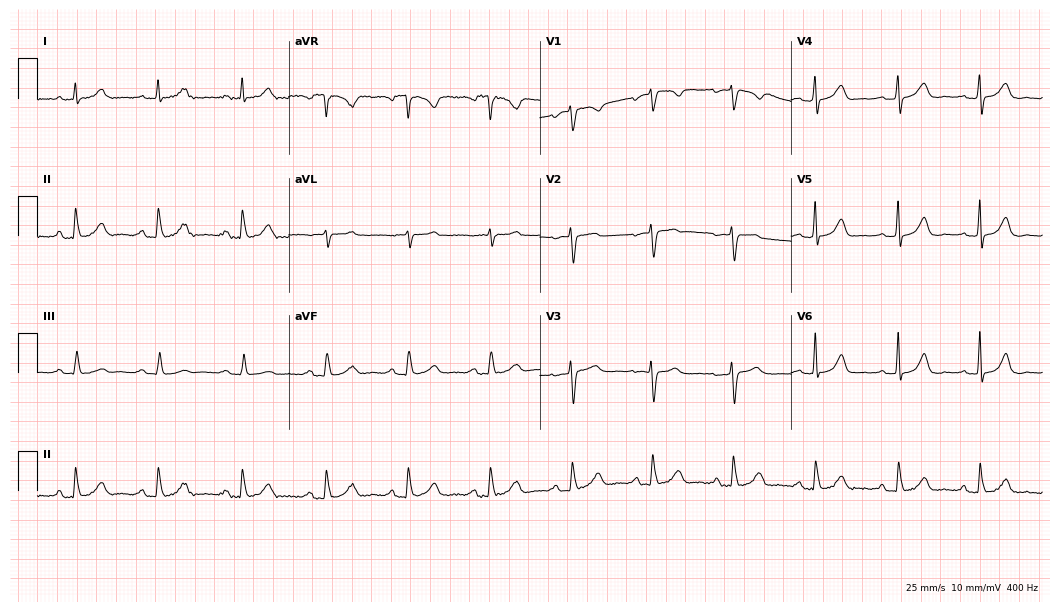
Electrocardiogram, an 80-year-old woman. Overall reading on record: normal ECG.